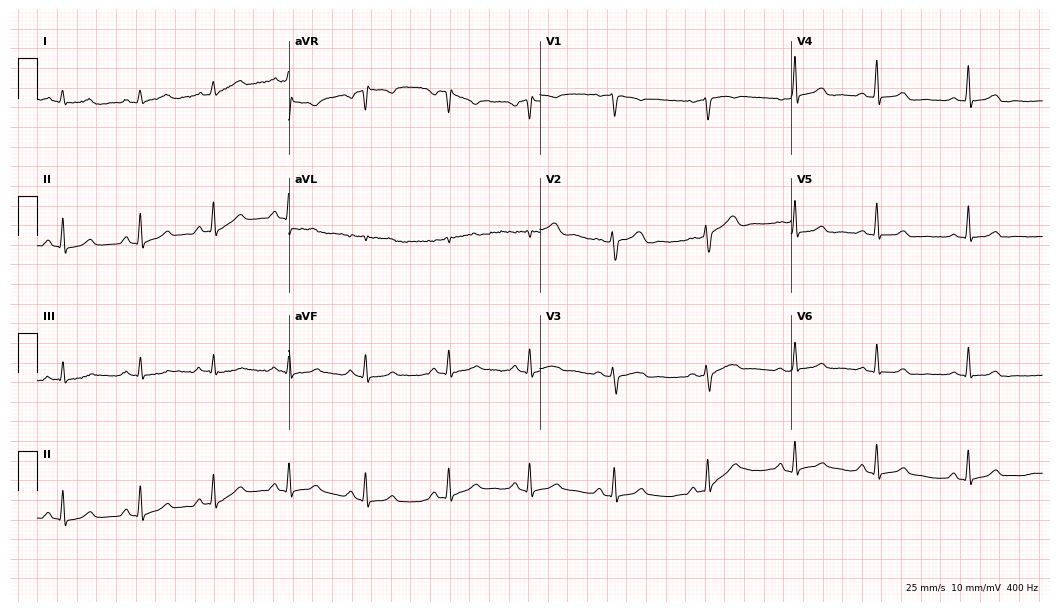
ECG (10.2-second recording at 400 Hz) — a 36-year-old female. Labelled as a normal ECG.